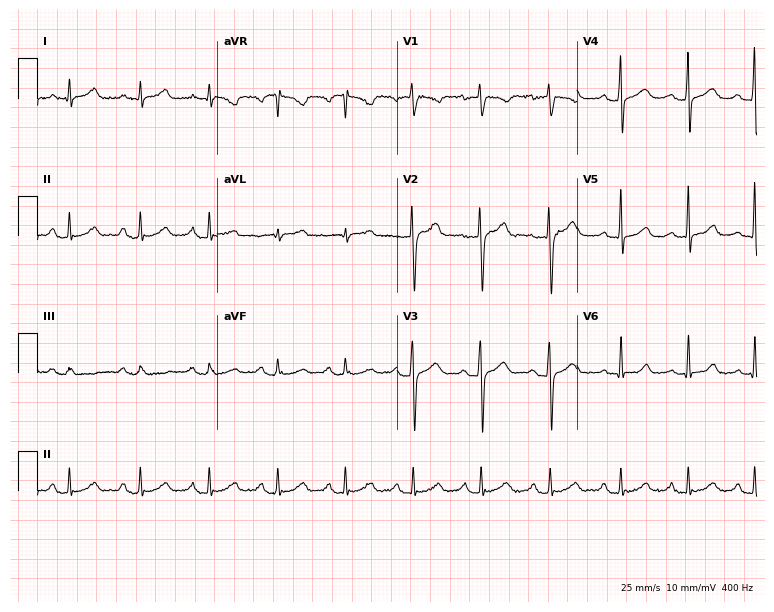
12-lead ECG from a 39-year-old man (7.3-second recording at 400 Hz). Recorded interpretation: within normal limits.